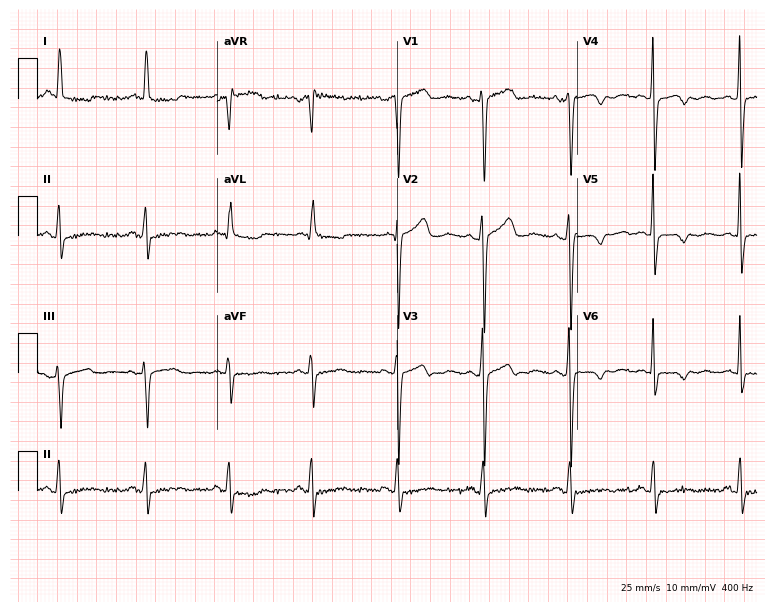
12-lead ECG from a woman, 54 years old. Screened for six findings — first-degree AV block, right bundle branch block, left bundle branch block, sinus bradycardia, atrial fibrillation, sinus tachycardia — none is recorded.